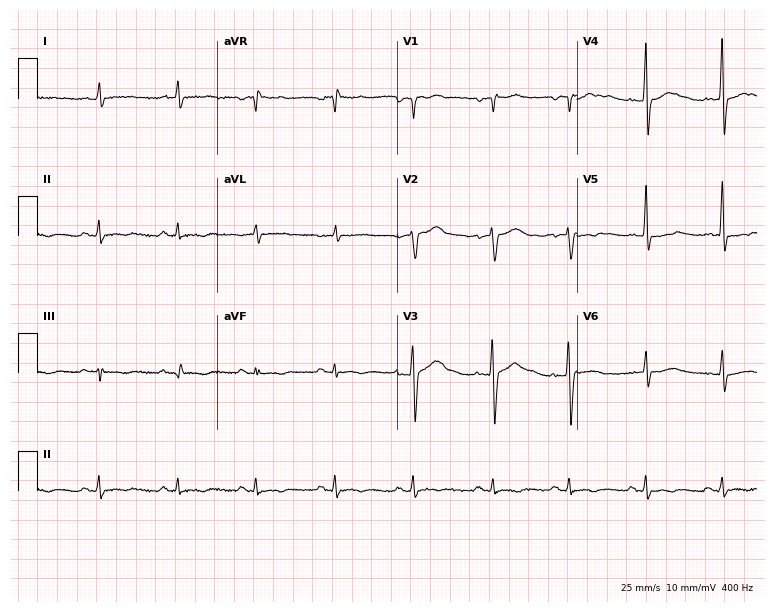
Electrocardiogram, a male patient, 65 years old. Of the six screened findings (first-degree AV block, right bundle branch block (RBBB), left bundle branch block (LBBB), sinus bradycardia, atrial fibrillation (AF), sinus tachycardia), none is recorded. Other findings, if any, are not listed.